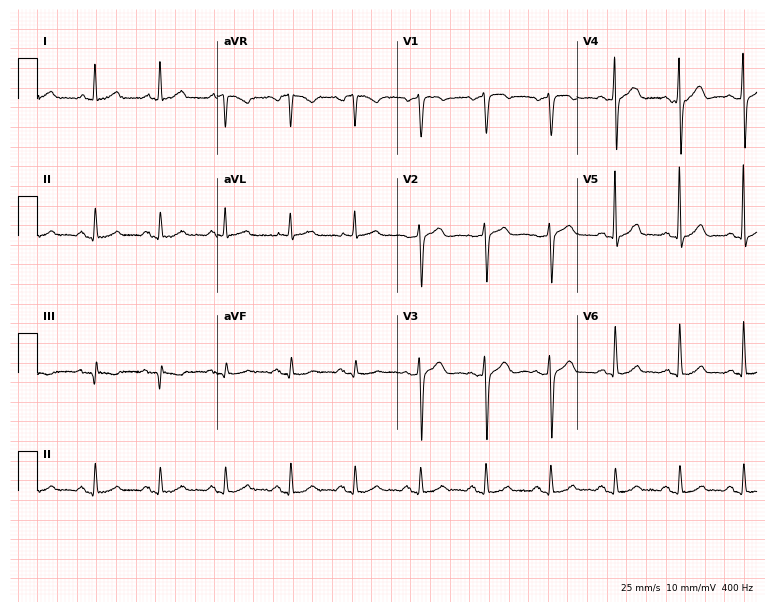
12-lead ECG (7.3-second recording at 400 Hz) from a female, 65 years old. Screened for six findings — first-degree AV block, right bundle branch block, left bundle branch block, sinus bradycardia, atrial fibrillation, sinus tachycardia — none is recorded.